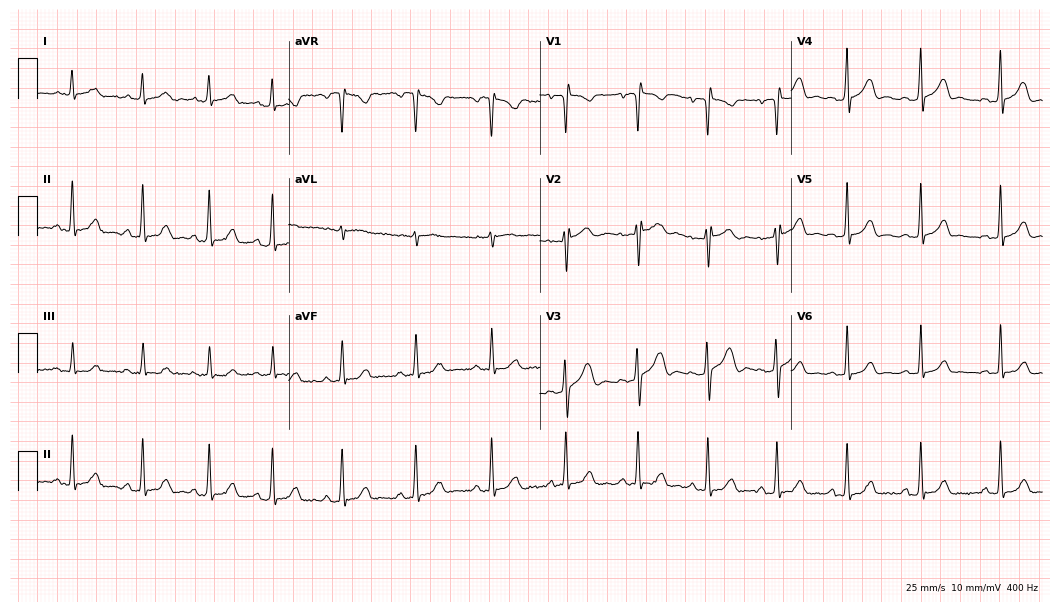
ECG — a 26-year-old woman. Labelled as a normal ECG.